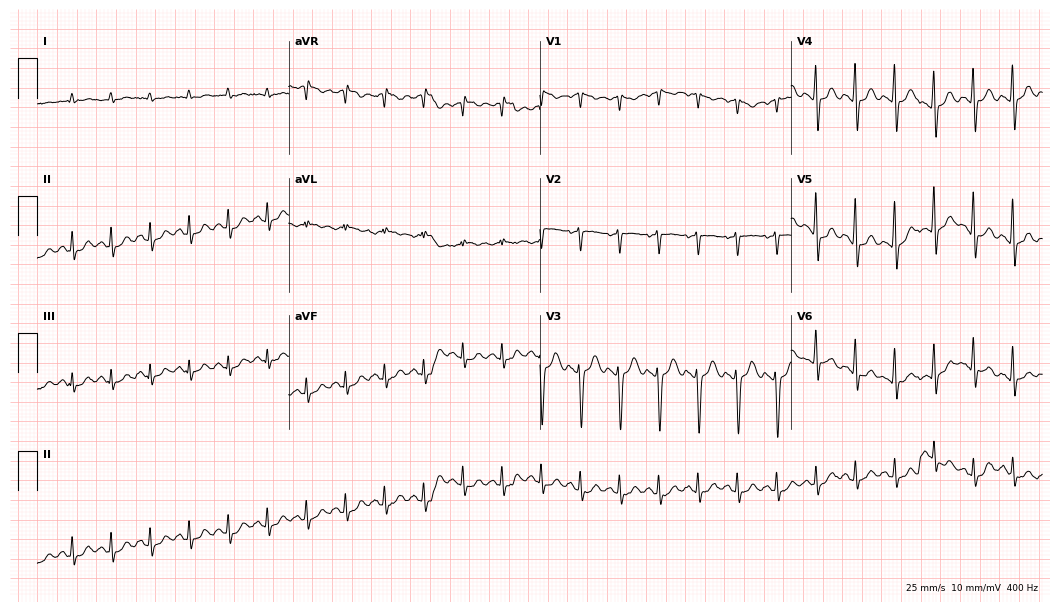
ECG — a male, 40 years old. Findings include sinus tachycardia (a sinus rate of 100 beats per minute or more).